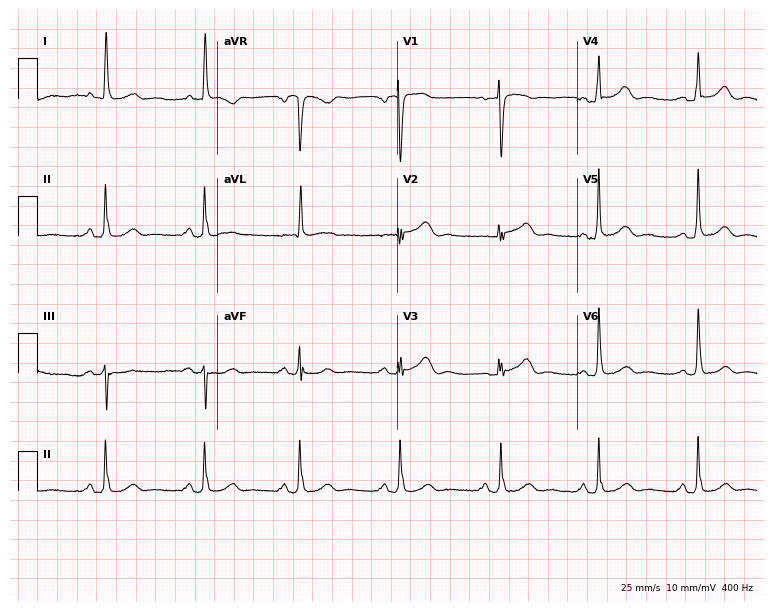
12-lead ECG from a woman, 73 years old. No first-degree AV block, right bundle branch block (RBBB), left bundle branch block (LBBB), sinus bradycardia, atrial fibrillation (AF) or sinus tachycardia recorded for this tracing.